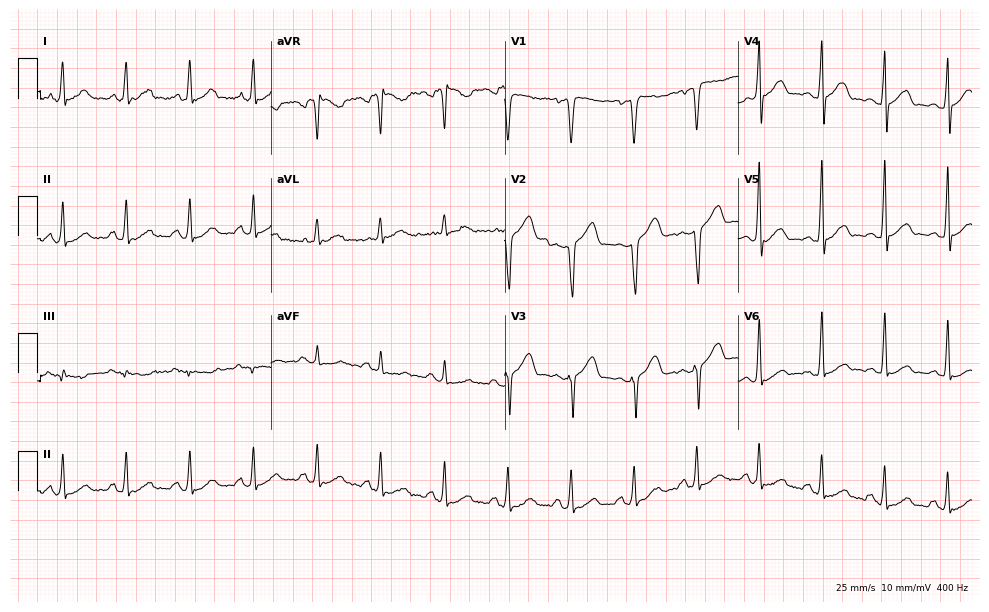
Standard 12-lead ECG recorded from a man, 49 years old. None of these six findings is recorded: first-degree AV block, right bundle branch block (RBBB), left bundle branch block (LBBB), sinus bradycardia, atrial fibrillation (AF), sinus tachycardia.